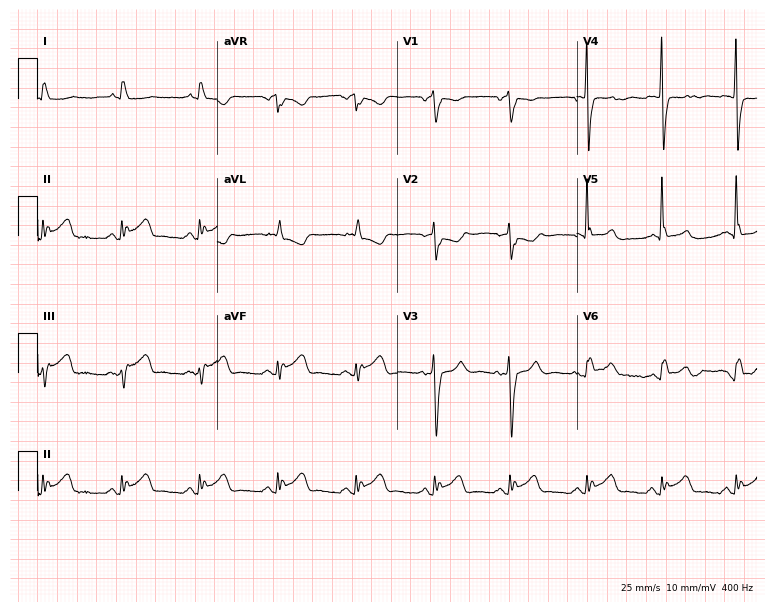
Standard 12-lead ECG recorded from a female patient, 83 years old. None of these six findings is recorded: first-degree AV block, right bundle branch block, left bundle branch block, sinus bradycardia, atrial fibrillation, sinus tachycardia.